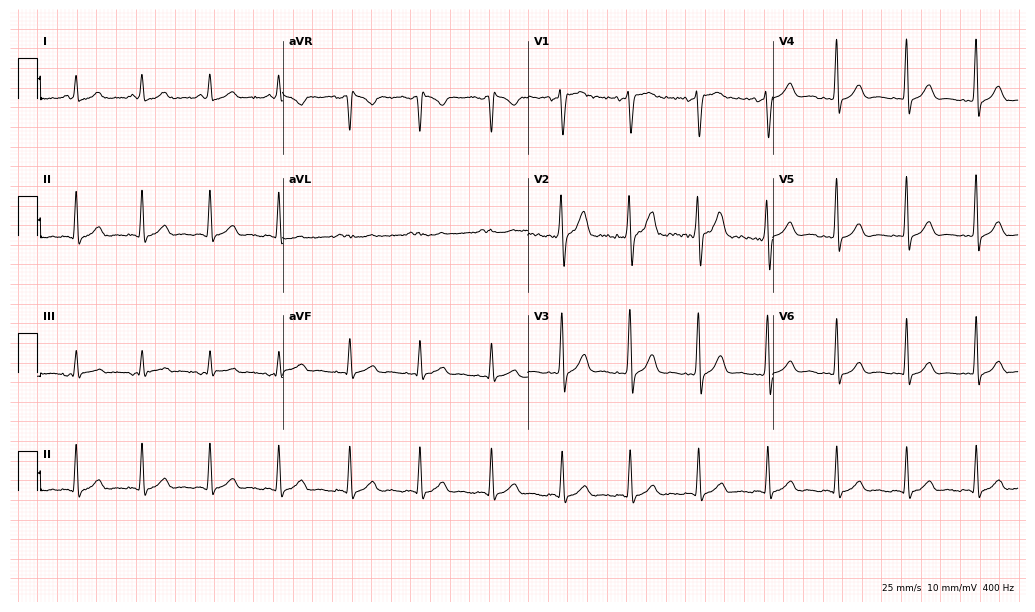
Resting 12-lead electrocardiogram (10-second recording at 400 Hz). Patient: a 48-year-old man. Read as a normal ECG.